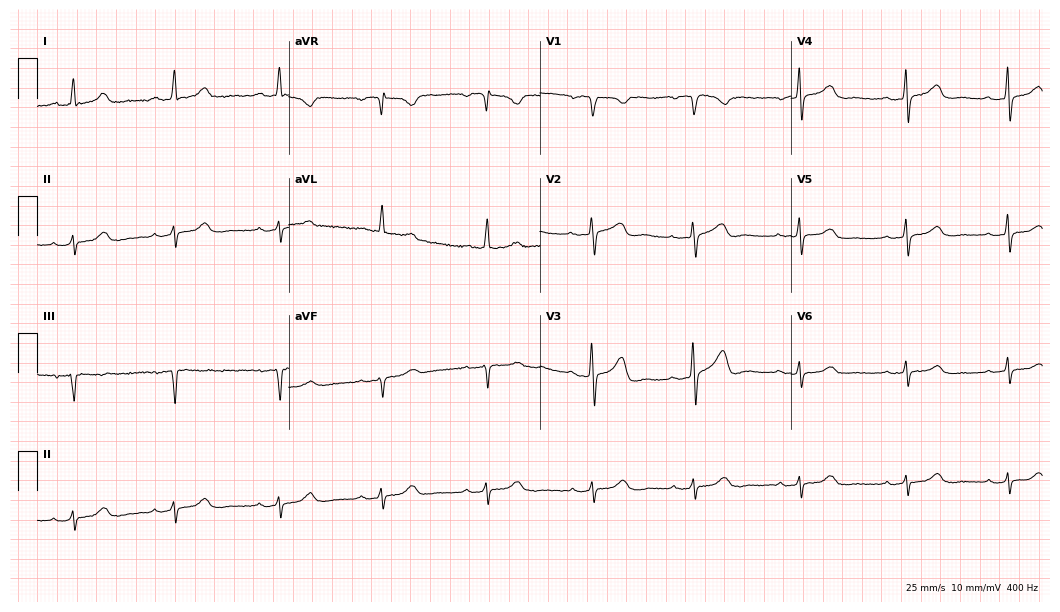
12-lead ECG (10.2-second recording at 400 Hz) from a 70-year-old female. Screened for six findings — first-degree AV block, right bundle branch block, left bundle branch block, sinus bradycardia, atrial fibrillation, sinus tachycardia — none is recorded. Findings outside these six are not listed.